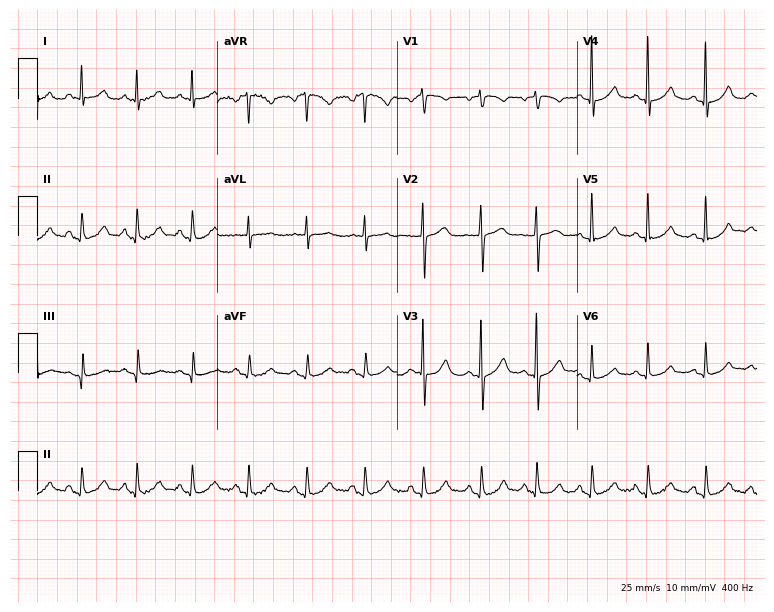
Electrocardiogram, an 80-year-old female patient. Interpretation includes sinus tachycardia (a sinus rate of 100 beats per minute or more).